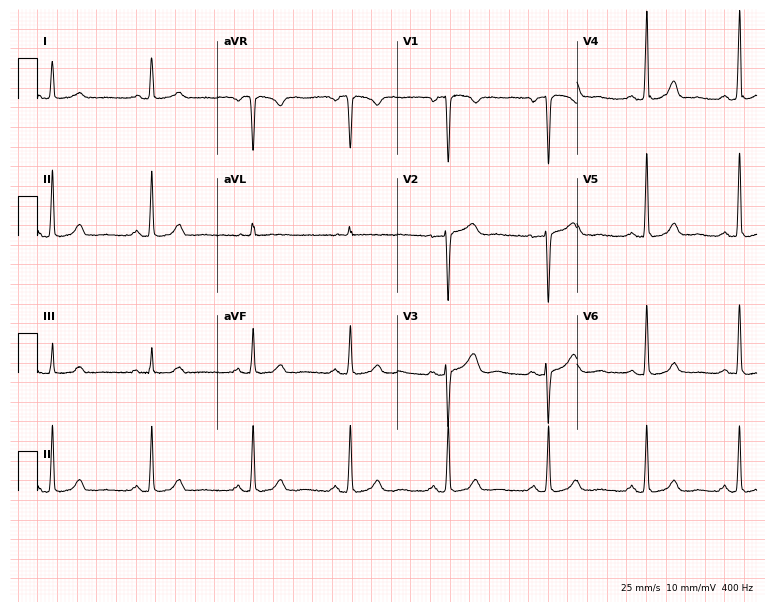
Standard 12-lead ECG recorded from a female, 46 years old. Read as a normal ECG.